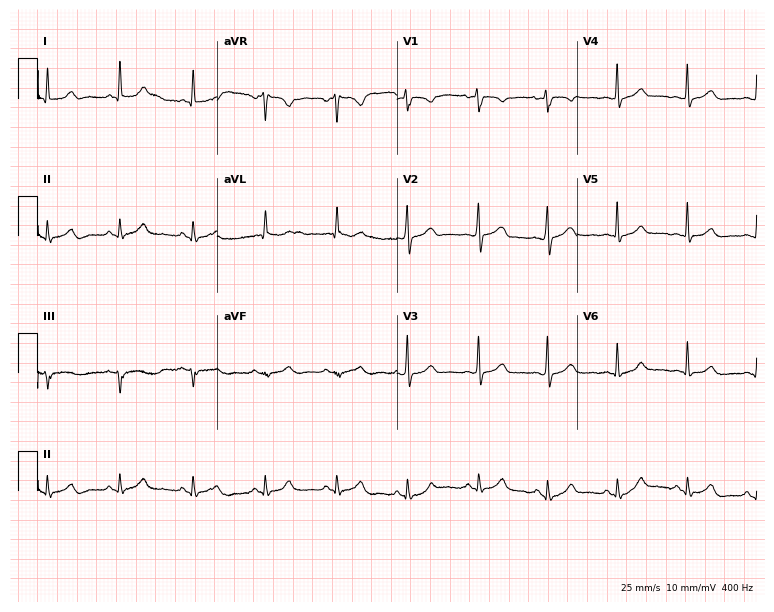
12-lead ECG from a 47-year-old female patient (7.3-second recording at 400 Hz). No first-degree AV block, right bundle branch block, left bundle branch block, sinus bradycardia, atrial fibrillation or sinus tachycardia recorded for this tracing. Findings outside these six are not listed.